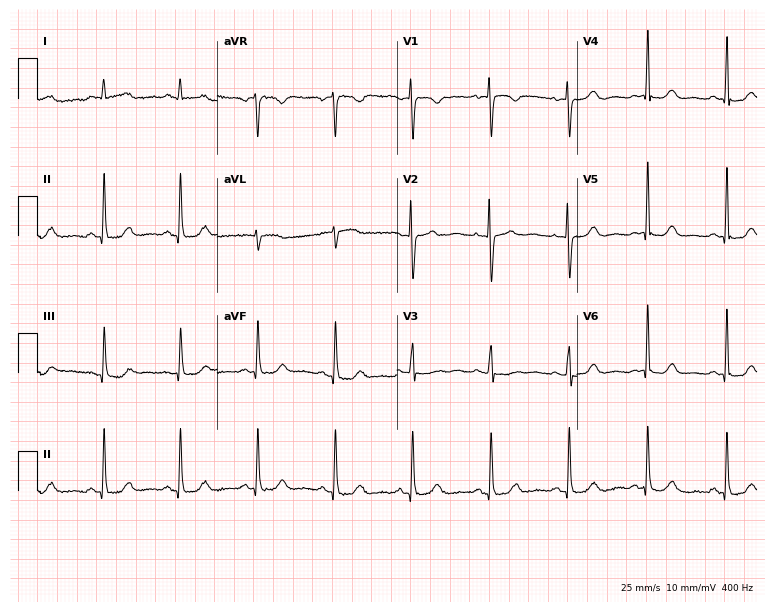
12-lead ECG from a 52-year-old female (7.3-second recording at 400 Hz). Recorded interpretation: within normal limits.